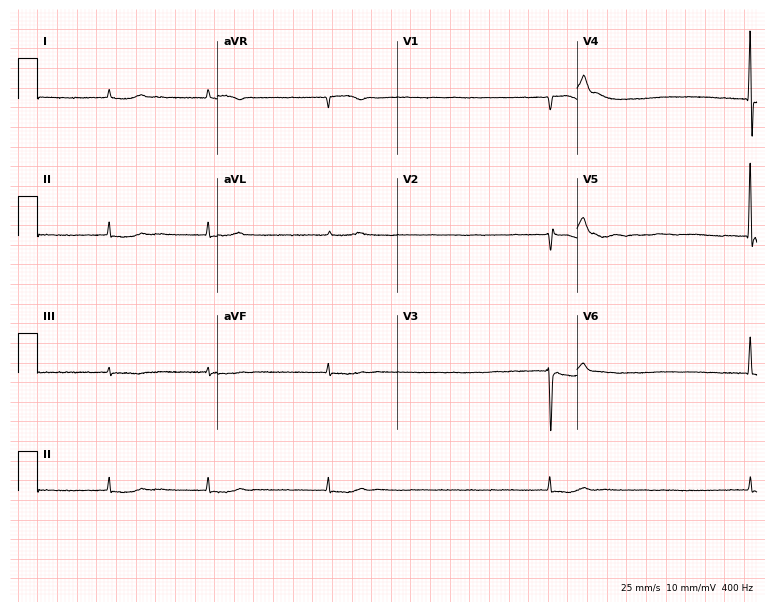
ECG (7.3-second recording at 400 Hz) — an 83-year-old male. Findings include atrial fibrillation.